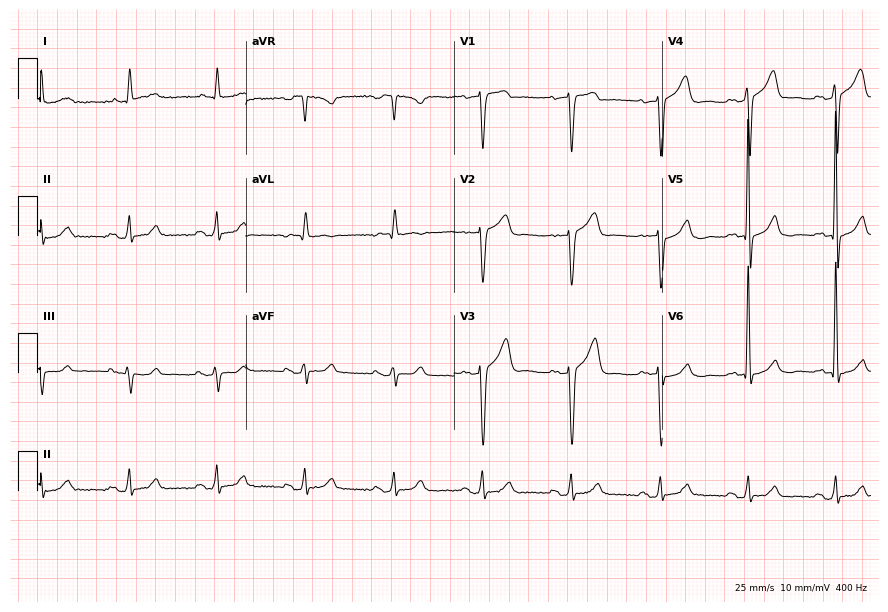
Electrocardiogram (8.5-second recording at 400 Hz), an 80-year-old male patient. Of the six screened findings (first-degree AV block, right bundle branch block, left bundle branch block, sinus bradycardia, atrial fibrillation, sinus tachycardia), none is recorded. Only these six findings were labelled.